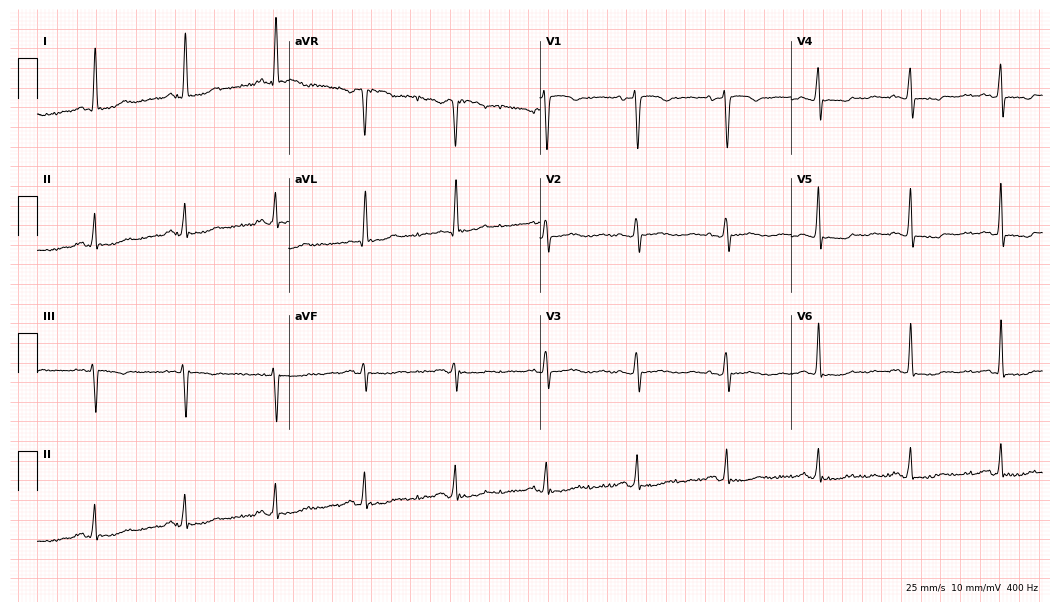
12-lead ECG from a female, 65 years old. Screened for six findings — first-degree AV block, right bundle branch block, left bundle branch block, sinus bradycardia, atrial fibrillation, sinus tachycardia — none is recorded.